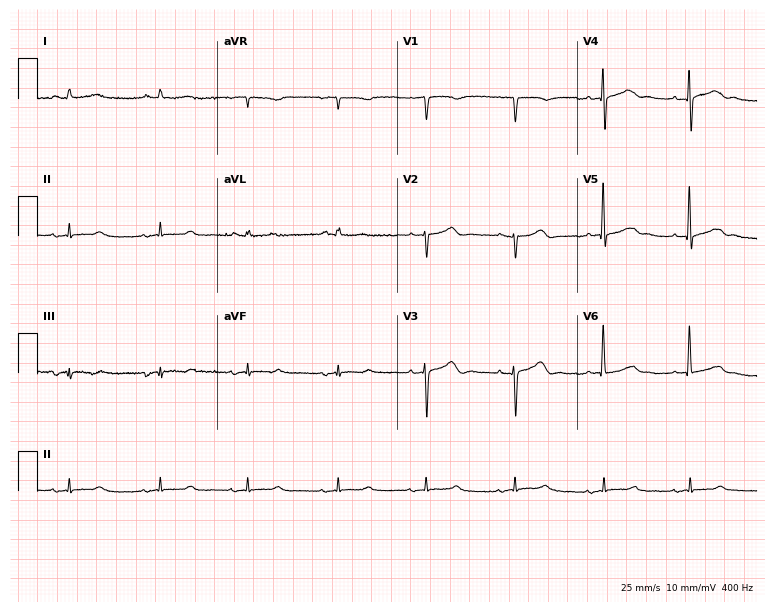
12-lead ECG from a 65-year-old male. Screened for six findings — first-degree AV block, right bundle branch block (RBBB), left bundle branch block (LBBB), sinus bradycardia, atrial fibrillation (AF), sinus tachycardia — none is recorded.